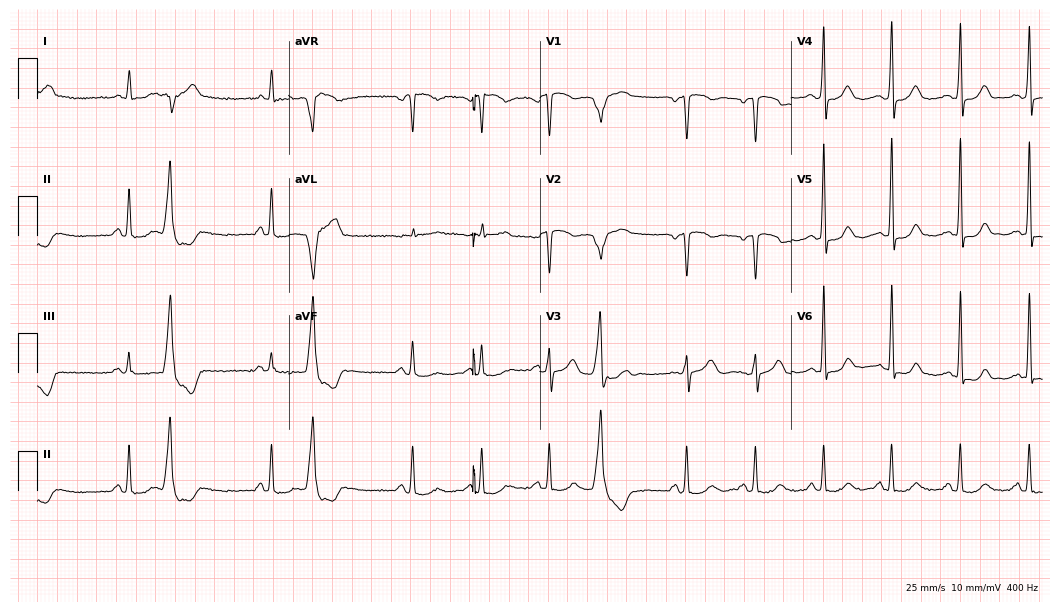
12-lead ECG from a woman, 58 years old. No first-degree AV block, right bundle branch block (RBBB), left bundle branch block (LBBB), sinus bradycardia, atrial fibrillation (AF) or sinus tachycardia recorded for this tracing.